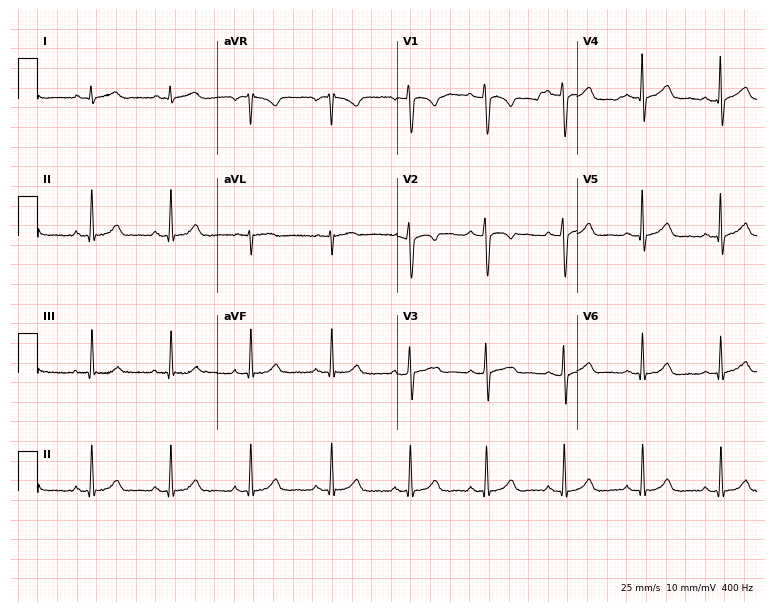
ECG (7.3-second recording at 400 Hz) — a woman, 40 years old. Labelled as a normal ECG.